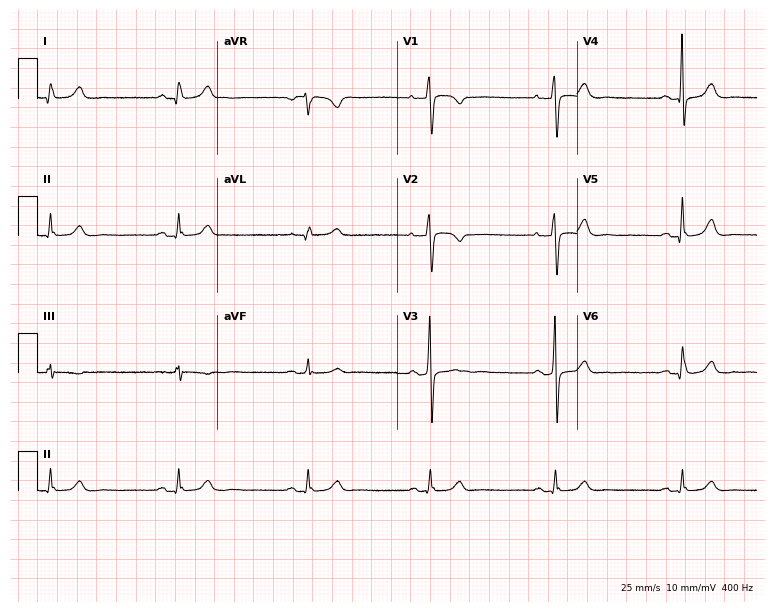
ECG — a woman, 53 years old. Findings include sinus bradycardia (a sinus rate of 50 beats per minute or less).